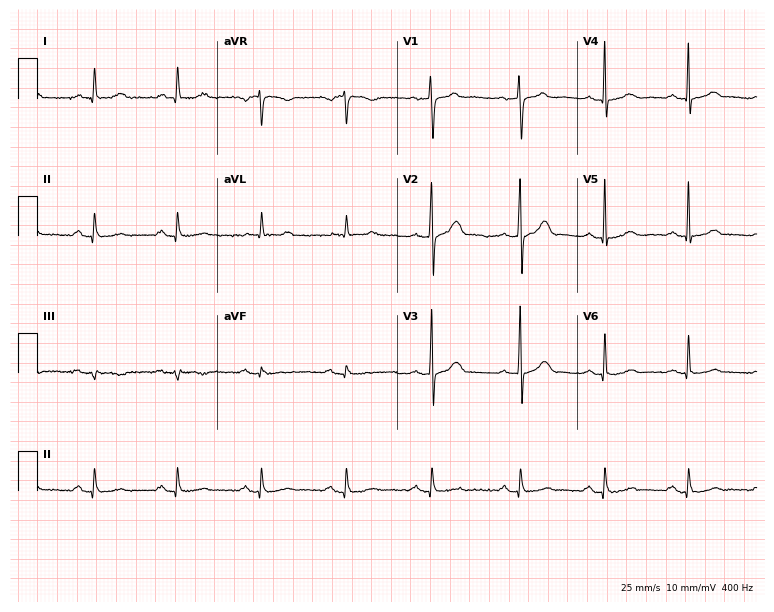
ECG (7.3-second recording at 400 Hz) — a 35-year-old woman. Screened for six findings — first-degree AV block, right bundle branch block, left bundle branch block, sinus bradycardia, atrial fibrillation, sinus tachycardia — none is recorded.